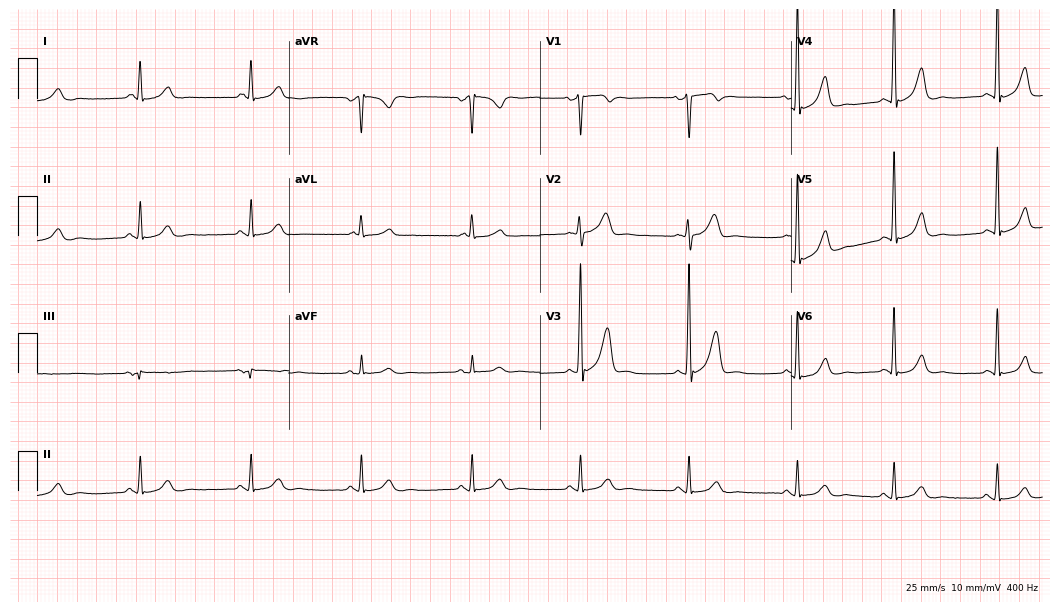
ECG — a man, 47 years old. Screened for six findings — first-degree AV block, right bundle branch block, left bundle branch block, sinus bradycardia, atrial fibrillation, sinus tachycardia — none is recorded. Findings outside these six are not listed.